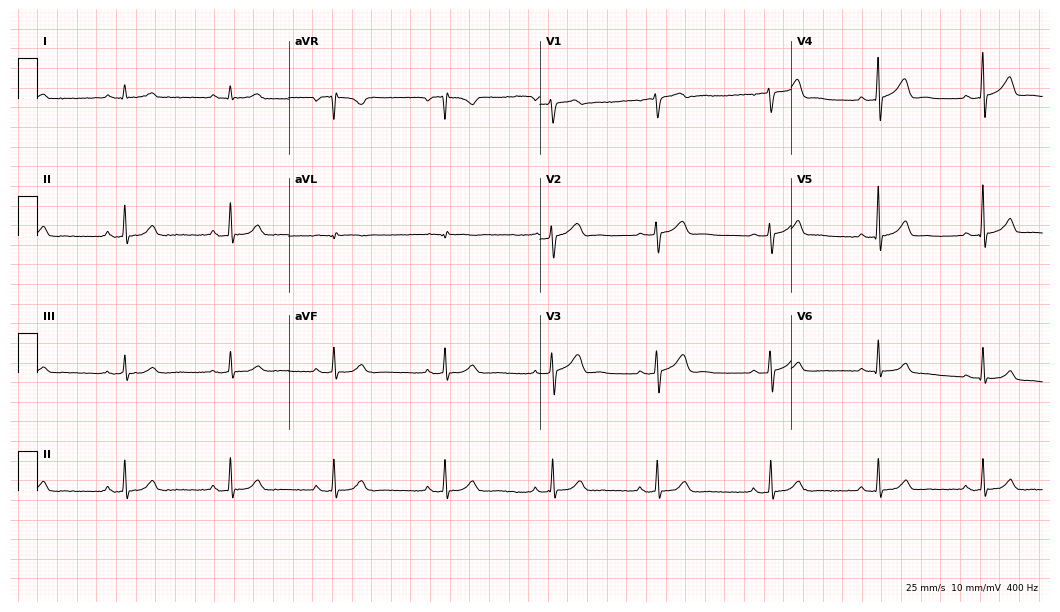
ECG — a man, 42 years old. Screened for six findings — first-degree AV block, right bundle branch block (RBBB), left bundle branch block (LBBB), sinus bradycardia, atrial fibrillation (AF), sinus tachycardia — none is recorded.